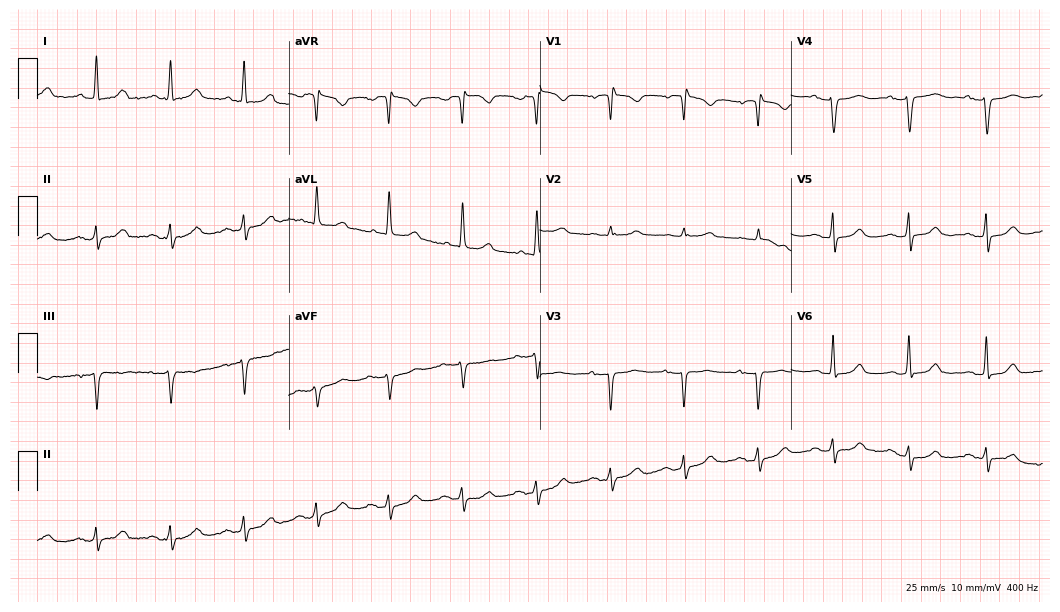
Standard 12-lead ECG recorded from a female patient, 75 years old (10.2-second recording at 400 Hz). None of these six findings is recorded: first-degree AV block, right bundle branch block (RBBB), left bundle branch block (LBBB), sinus bradycardia, atrial fibrillation (AF), sinus tachycardia. Other findings, if any, are not listed.